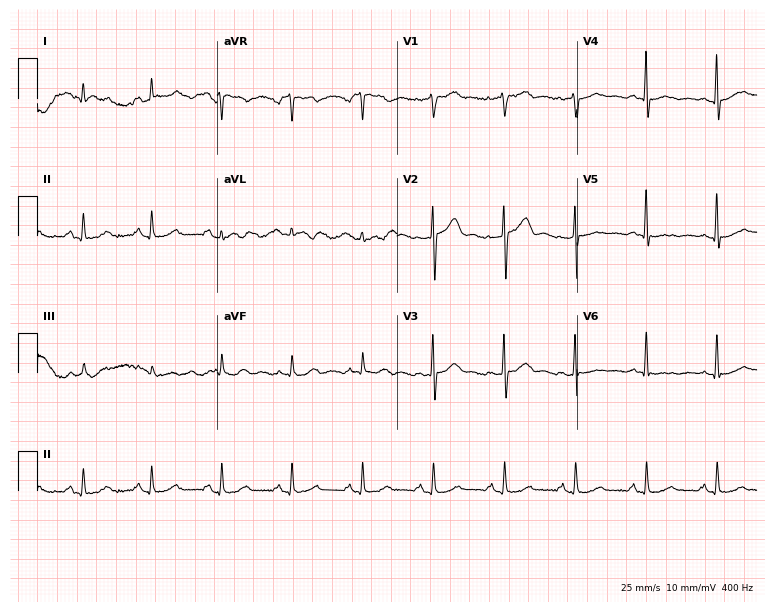
Resting 12-lead electrocardiogram. Patient: a 45-year-old male. None of these six findings is recorded: first-degree AV block, right bundle branch block, left bundle branch block, sinus bradycardia, atrial fibrillation, sinus tachycardia.